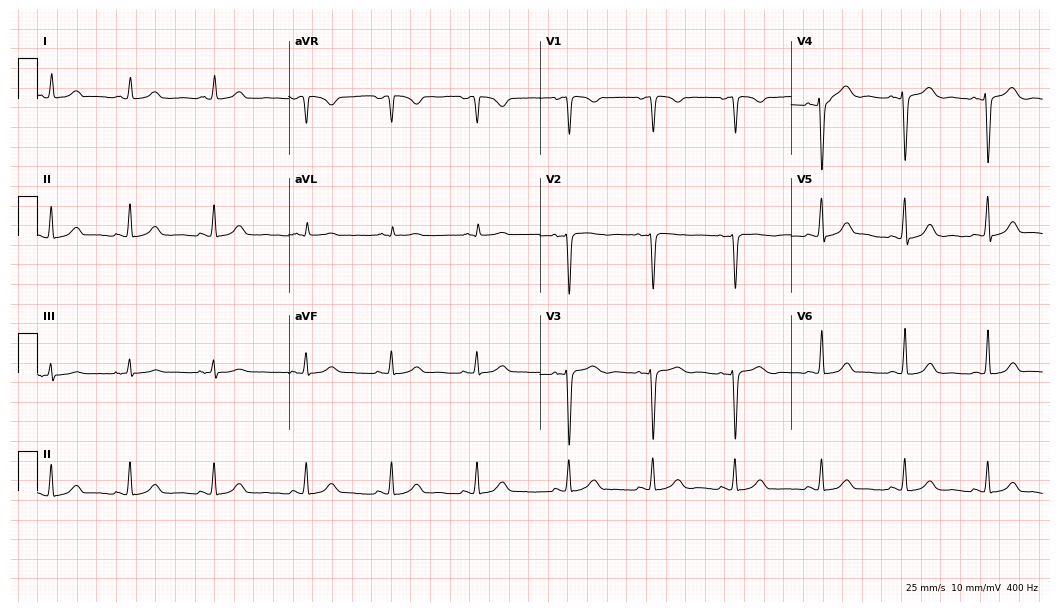
ECG — a female patient, 29 years old. Labelled as a normal ECG.